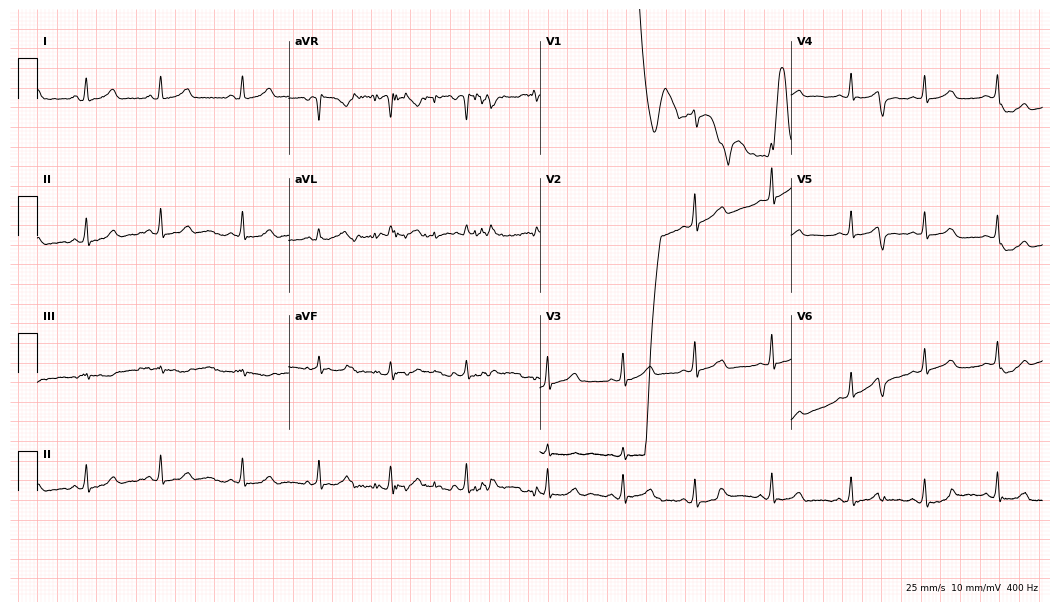
Standard 12-lead ECG recorded from a 29-year-old female patient (10.2-second recording at 400 Hz). None of these six findings is recorded: first-degree AV block, right bundle branch block (RBBB), left bundle branch block (LBBB), sinus bradycardia, atrial fibrillation (AF), sinus tachycardia.